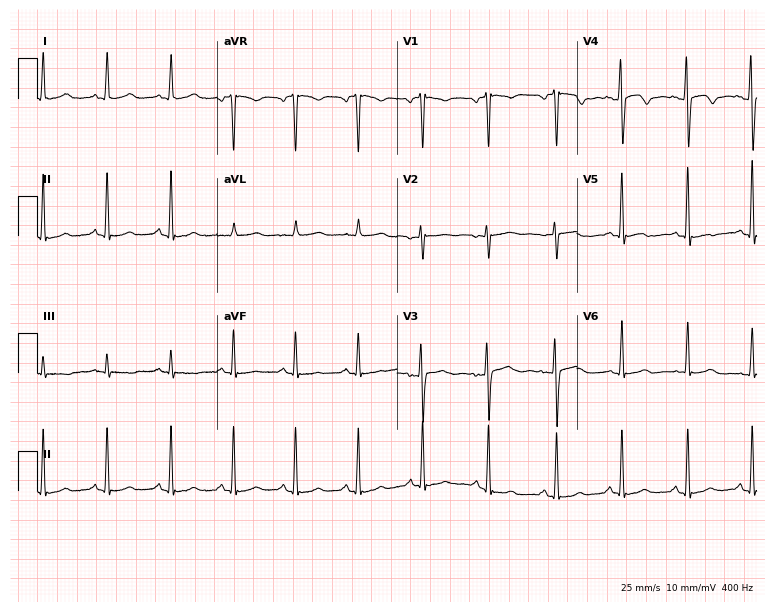
ECG — a female patient, 30 years old. Screened for six findings — first-degree AV block, right bundle branch block, left bundle branch block, sinus bradycardia, atrial fibrillation, sinus tachycardia — none is recorded. Other findings, if any, are not listed.